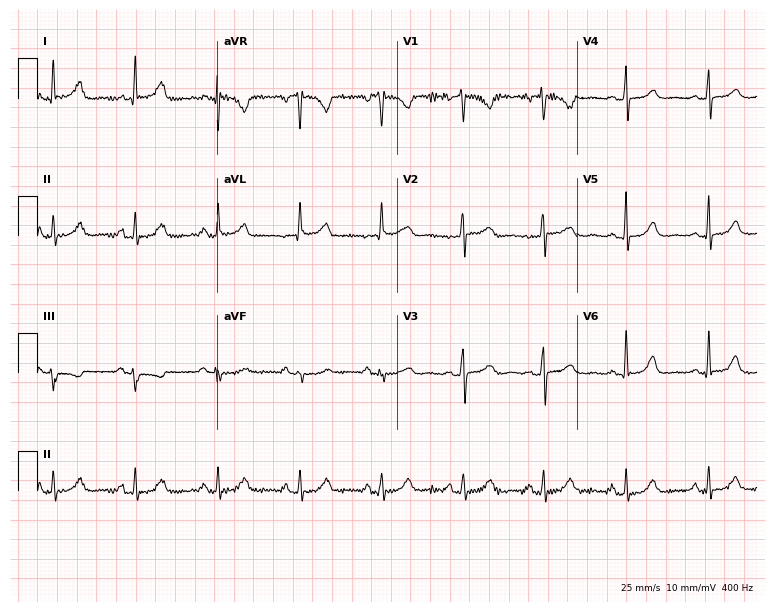
12-lead ECG (7.3-second recording at 400 Hz) from a 64-year-old female patient. Labelled as a normal ECG.